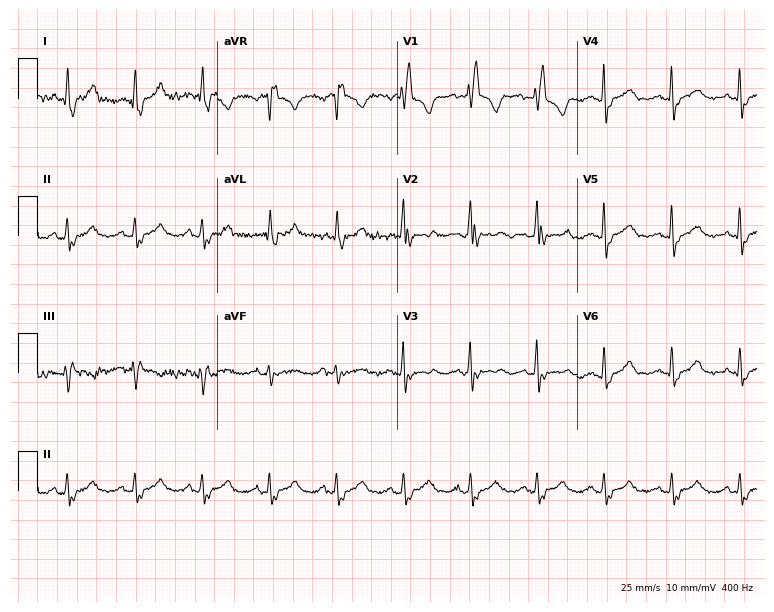
12-lead ECG from a 51-year-old female. Shows right bundle branch block.